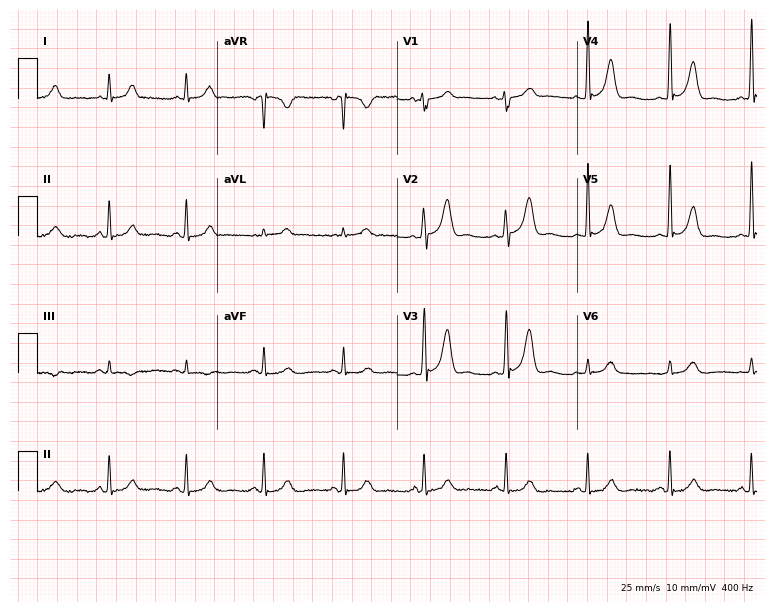
Electrocardiogram (7.3-second recording at 400 Hz), a 45-year-old female patient. Overall reading on record: normal ECG.